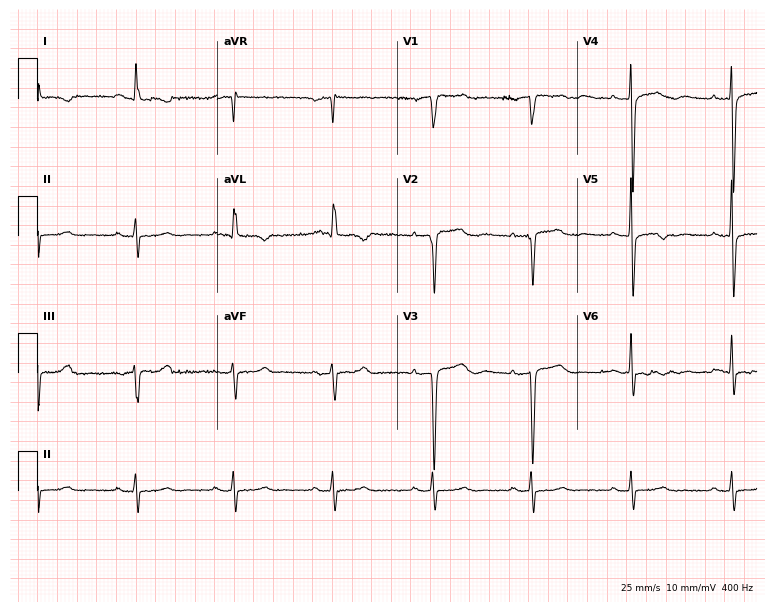
Electrocardiogram, an 80-year-old female. Of the six screened findings (first-degree AV block, right bundle branch block, left bundle branch block, sinus bradycardia, atrial fibrillation, sinus tachycardia), none is recorded. Findings outside these six are not listed.